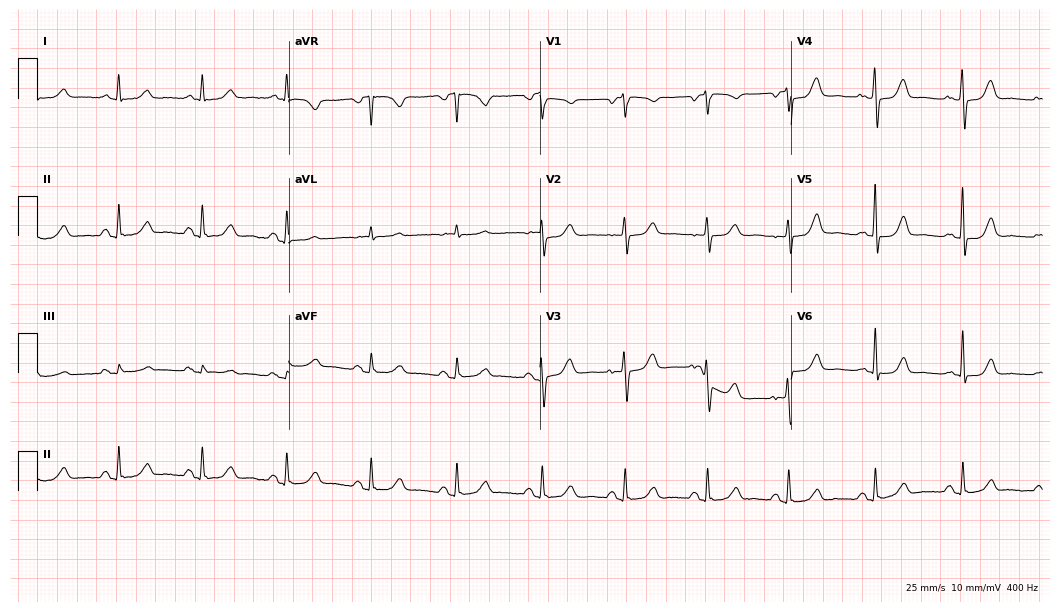
12-lead ECG from a 53-year-old female. Labelled as a normal ECG.